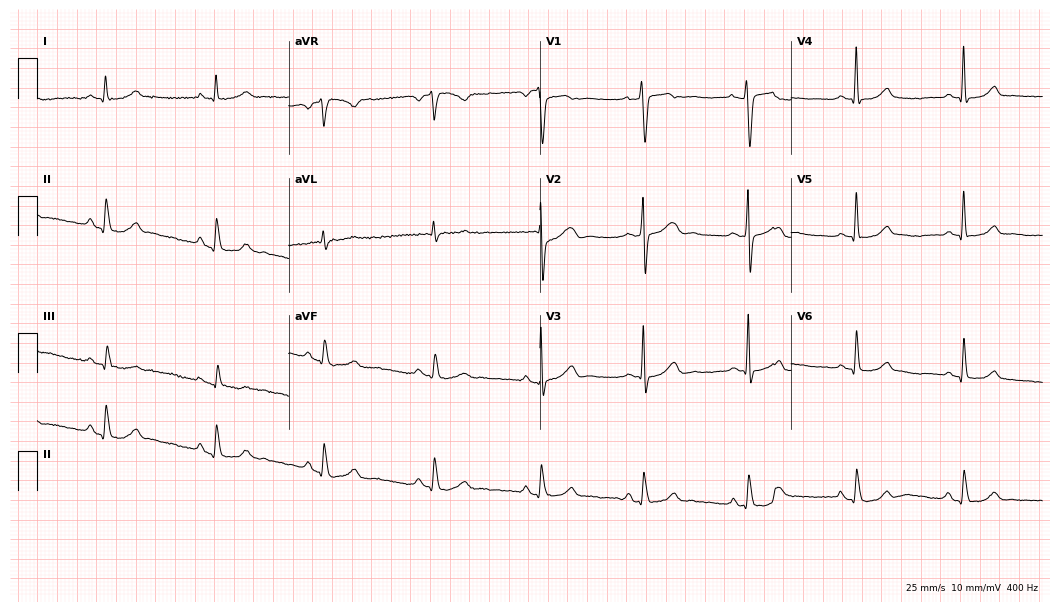
ECG — a male, 39 years old. Labelled as a normal ECG.